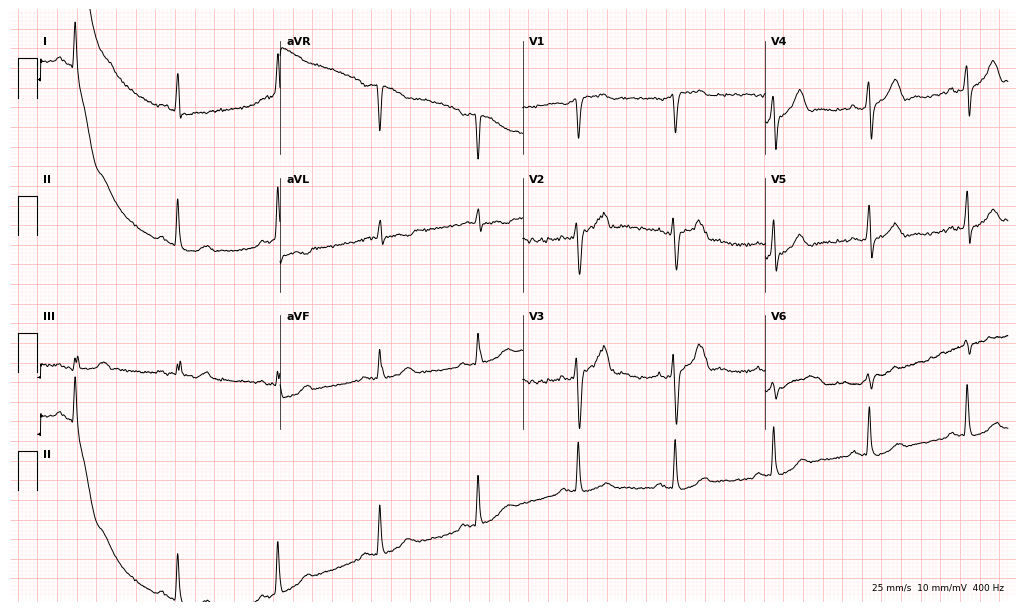
12-lead ECG from a 69-year-old male patient. No first-degree AV block, right bundle branch block (RBBB), left bundle branch block (LBBB), sinus bradycardia, atrial fibrillation (AF) or sinus tachycardia recorded for this tracing. Only these six findings were labelled.